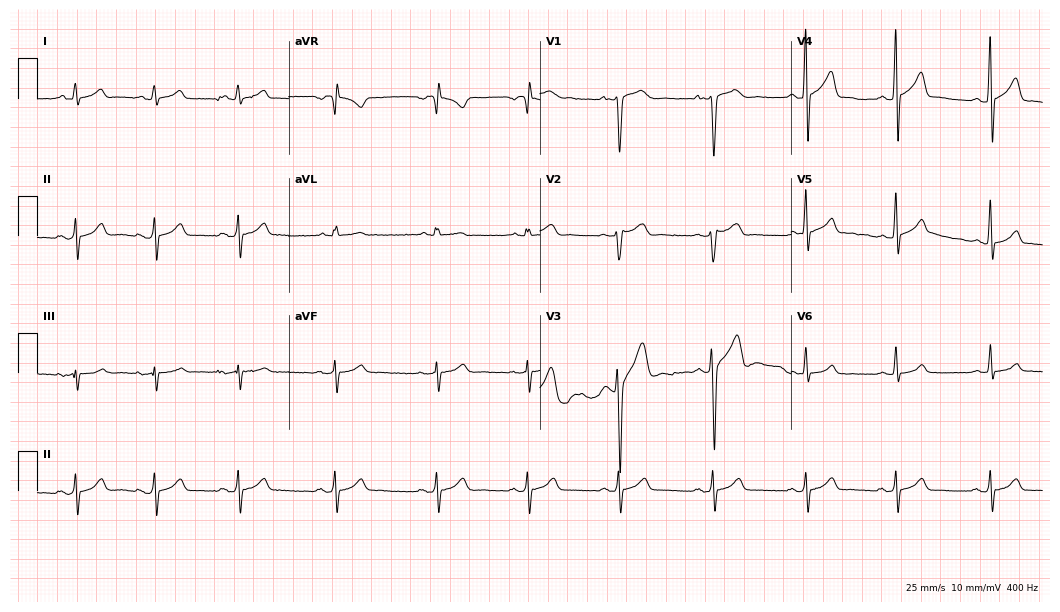
12-lead ECG from a 24-year-old female patient. Recorded interpretation: within normal limits.